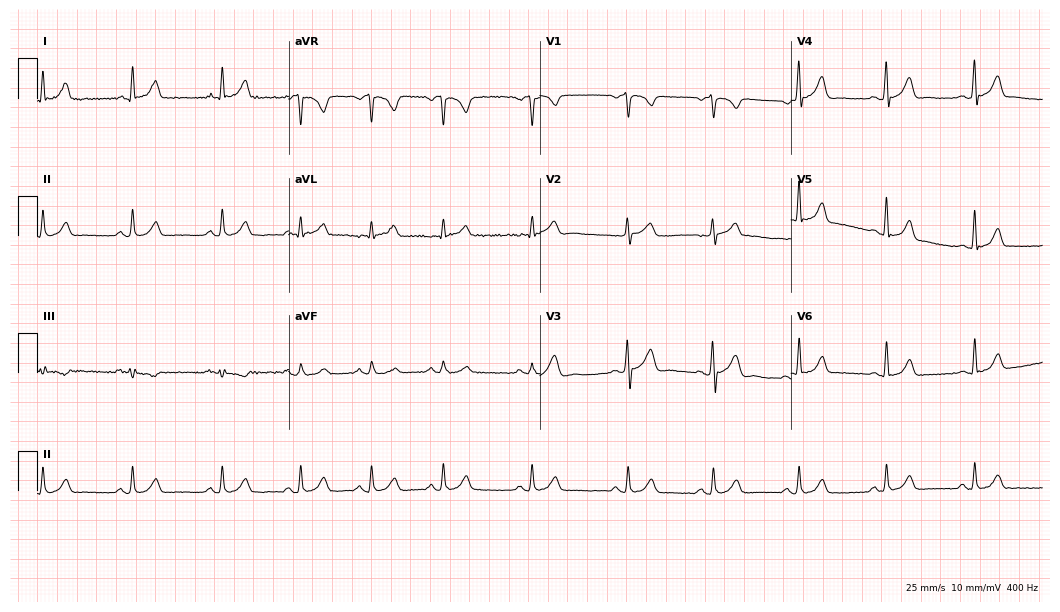
12-lead ECG from a male patient, 38 years old. Labelled as a normal ECG.